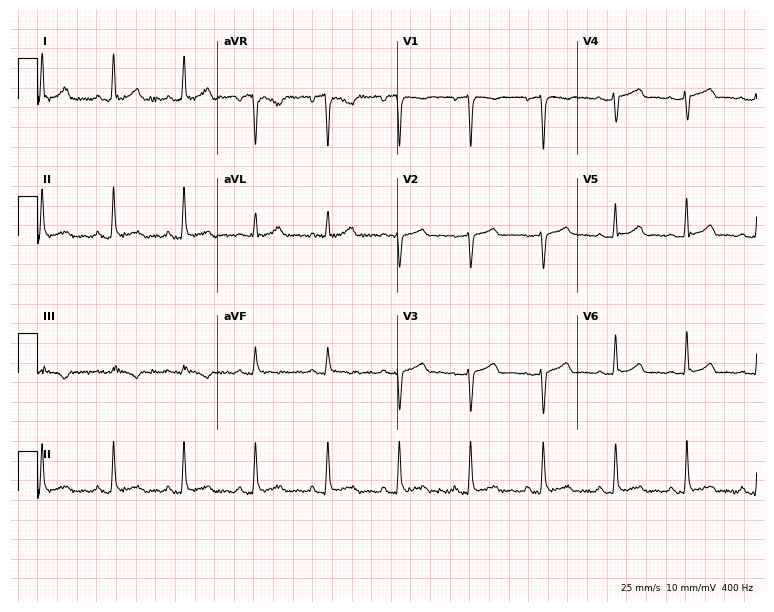
Electrocardiogram (7.3-second recording at 400 Hz), a female, 36 years old. Of the six screened findings (first-degree AV block, right bundle branch block (RBBB), left bundle branch block (LBBB), sinus bradycardia, atrial fibrillation (AF), sinus tachycardia), none is recorded.